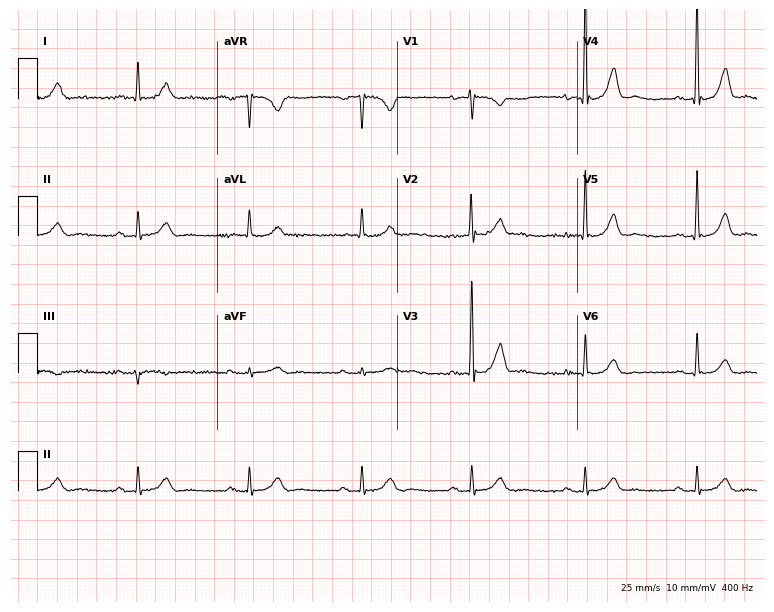
12-lead ECG from a male patient, 65 years old (7.3-second recording at 400 Hz). Recorded interpretation: within normal limits.